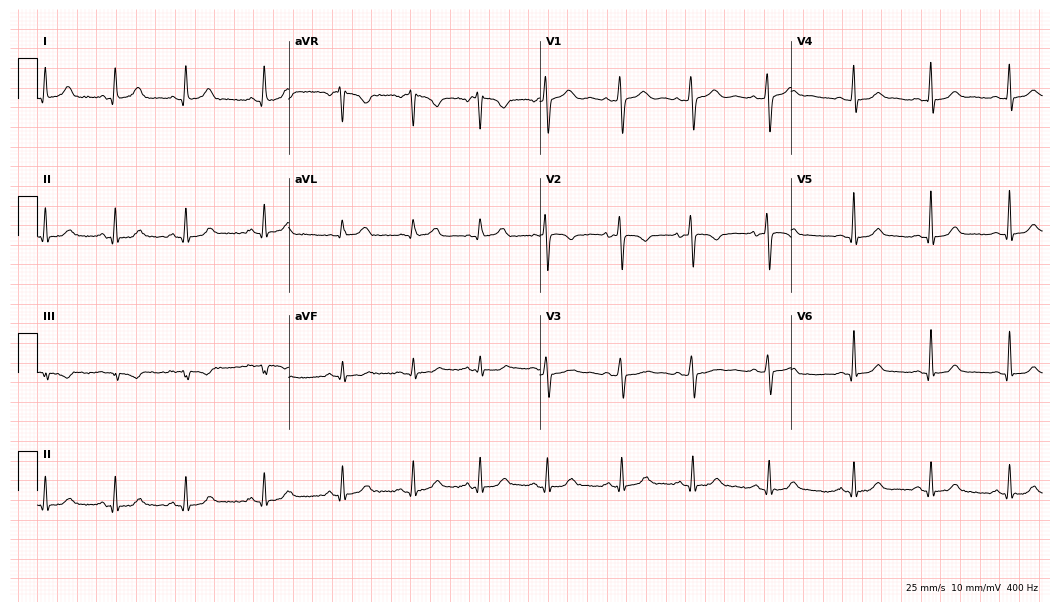
Electrocardiogram (10.2-second recording at 400 Hz), a female patient, 23 years old. Of the six screened findings (first-degree AV block, right bundle branch block (RBBB), left bundle branch block (LBBB), sinus bradycardia, atrial fibrillation (AF), sinus tachycardia), none is recorded.